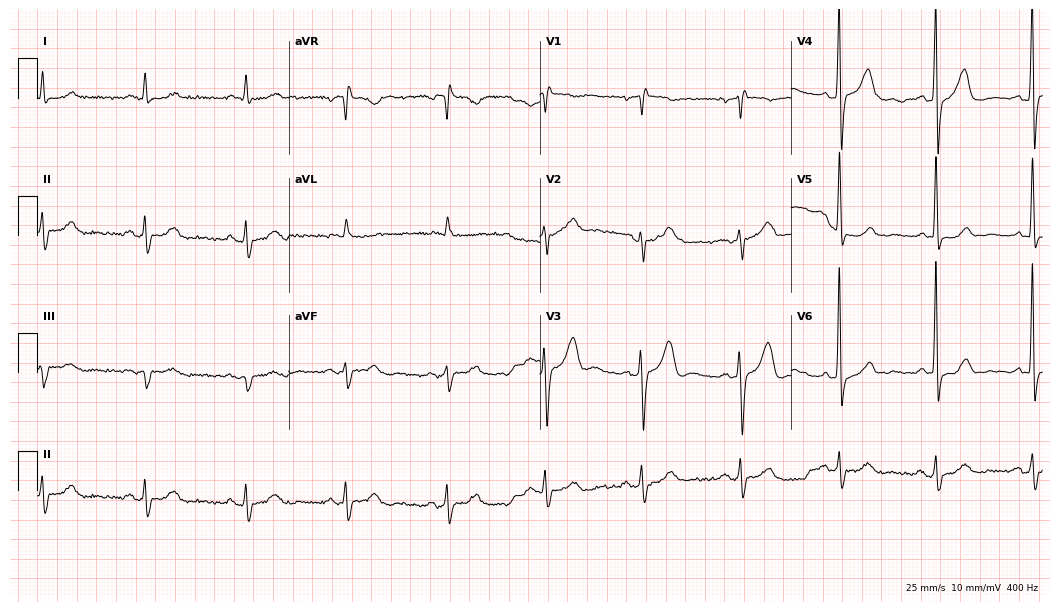
12-lead ECG from a 65-year-old woman (10.2-second recording at 400 Hz). No first-degree AV block, right bundle branch block, left bundle branch block, sinus bradycardia, atrial fibrillation or sinus tachycardia recorded for this tracing.